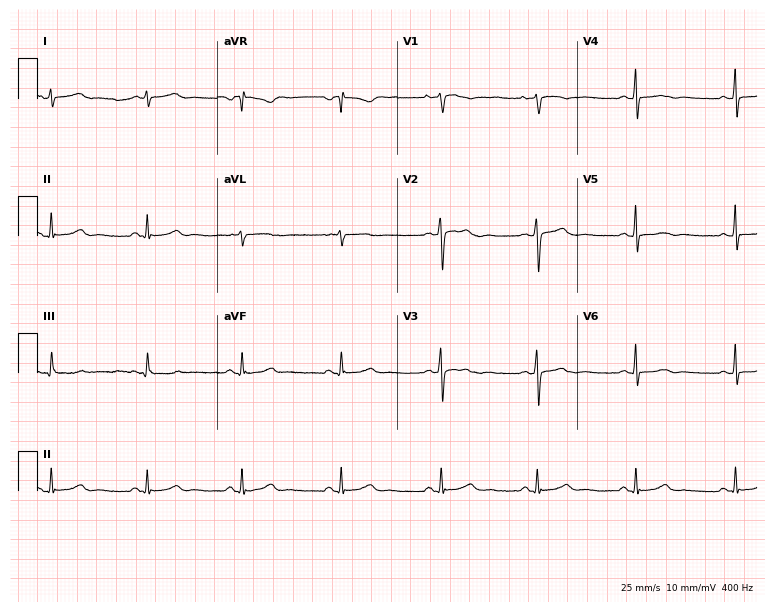
ECG — a 40-year-old female patient. Screened for six findings — first-degree AV block, right bundle branch block, left bundle branch block, sinus bradycardia, atrial fibrillation, sinus tachycardia — none is recorded. Findings outside these six are not listed.